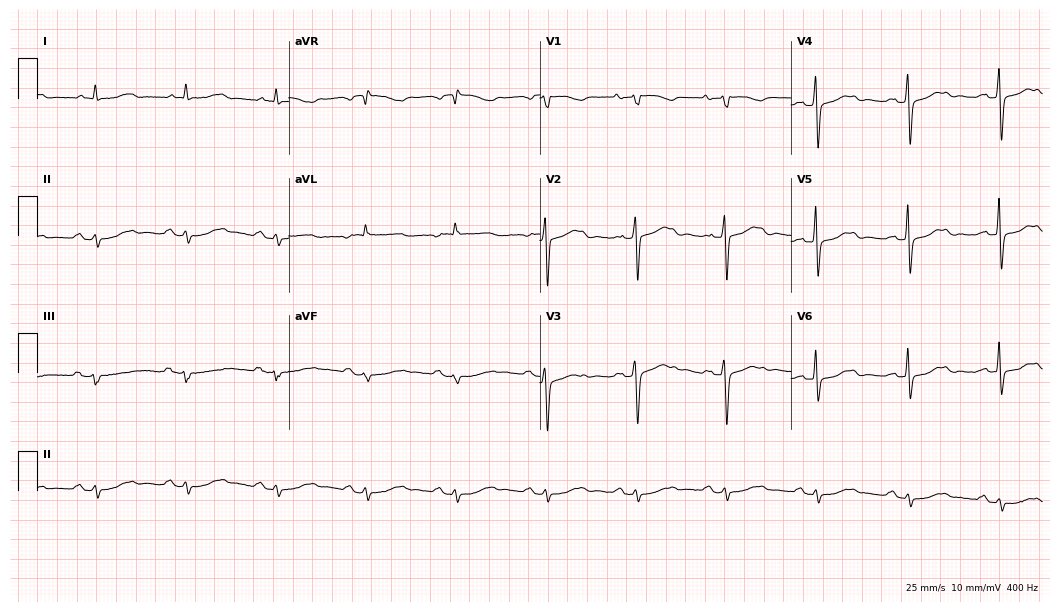
ECG (10.2-second recording at 400 Hz) — a 40-year-old female patient. Labelled as a normal ECG.